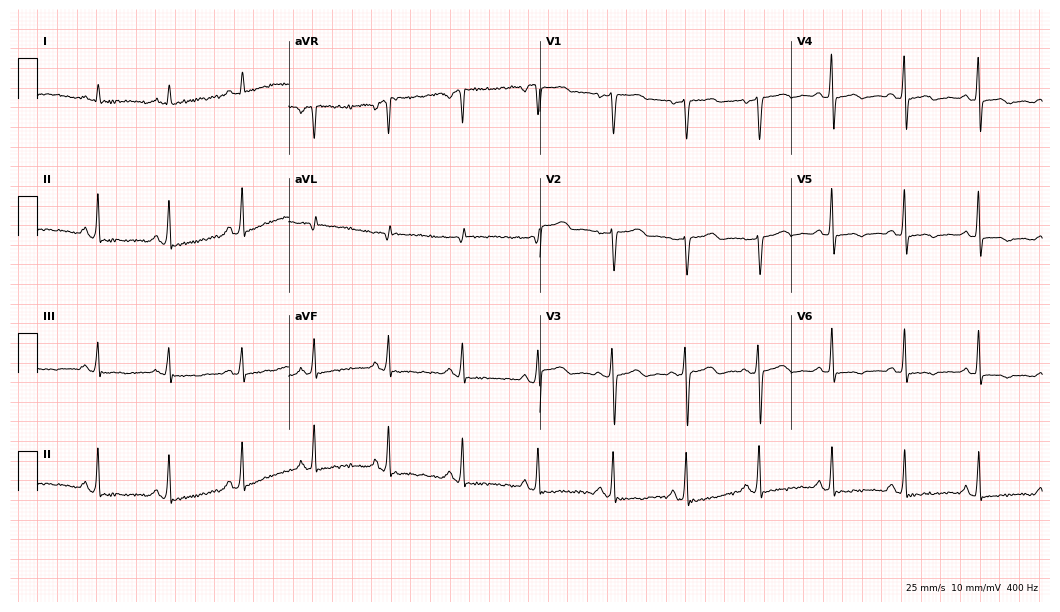
12-lead ECG (10.2-second recording at 400 Hz) from a female, 69 years old. Screened for six findings — first-degree AV block, right bundle branch block, left bundle branch block, sinus bradycardia, atrial fibrillation, sinus tachycardia — none is recorded.